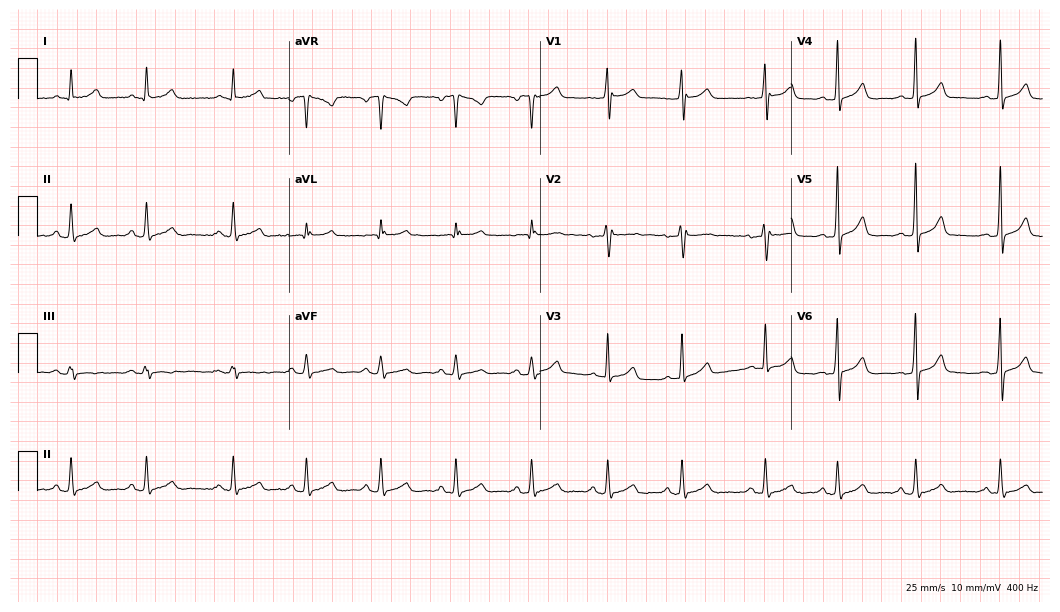
Electrocardiogram, a female, 52 years old. Of the six screened findings (first-degree AV block, right bundle branch block, left bundle branch block, sinus bradycardia, atrial fibrillation, sinus tachycardia), none is recorded.